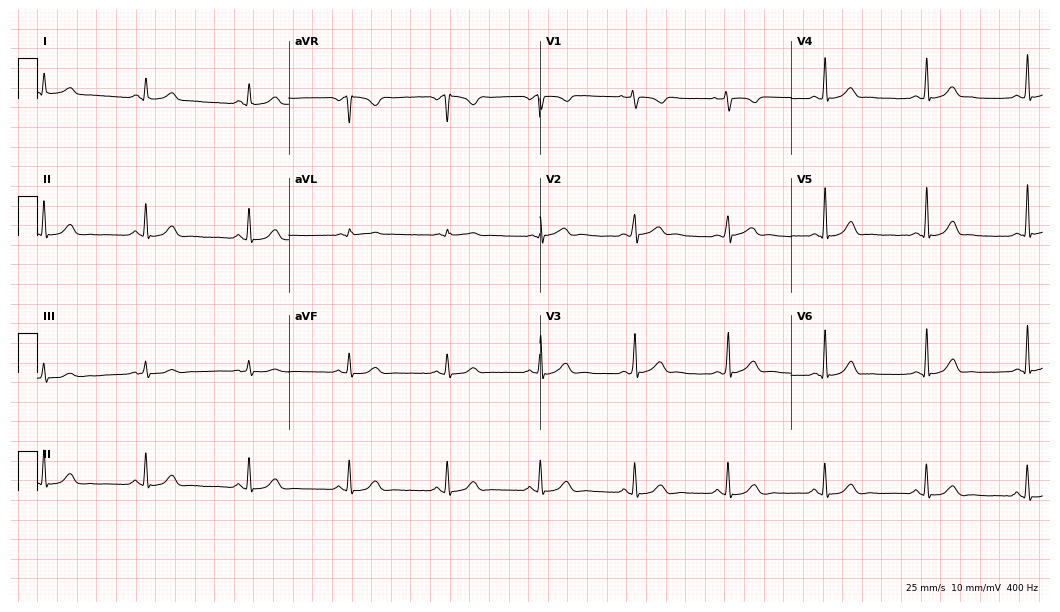
12-lead ECG (10.2-second recording at 400 Hz) from a 35-year-old woman. Labelled as a normal ECG.